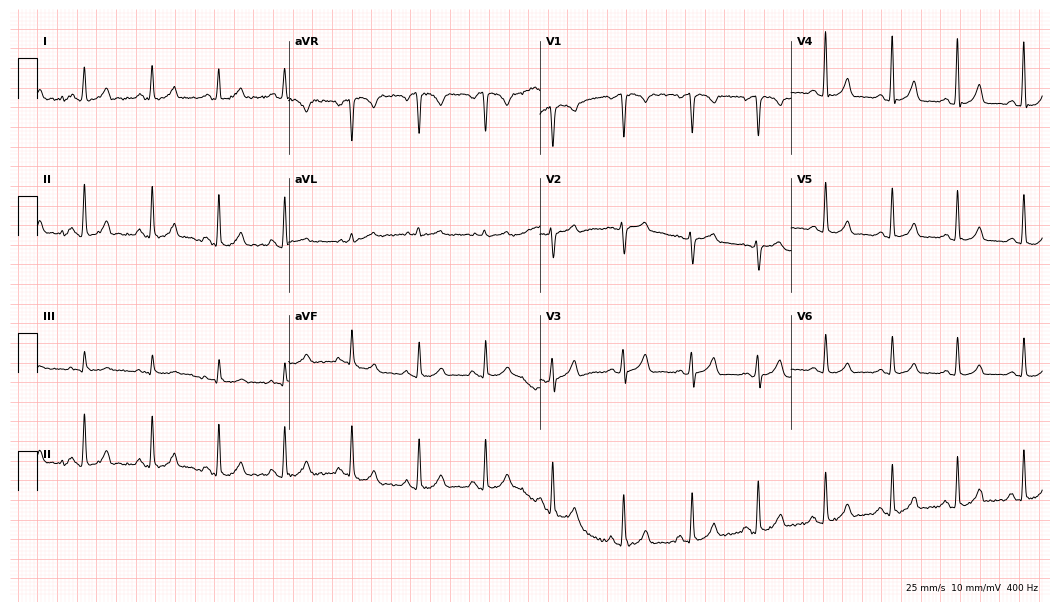
12-lead ECG (10.2-second recording at 400 Hz) from a female, 34 years old. Labelled as a normal ECG.